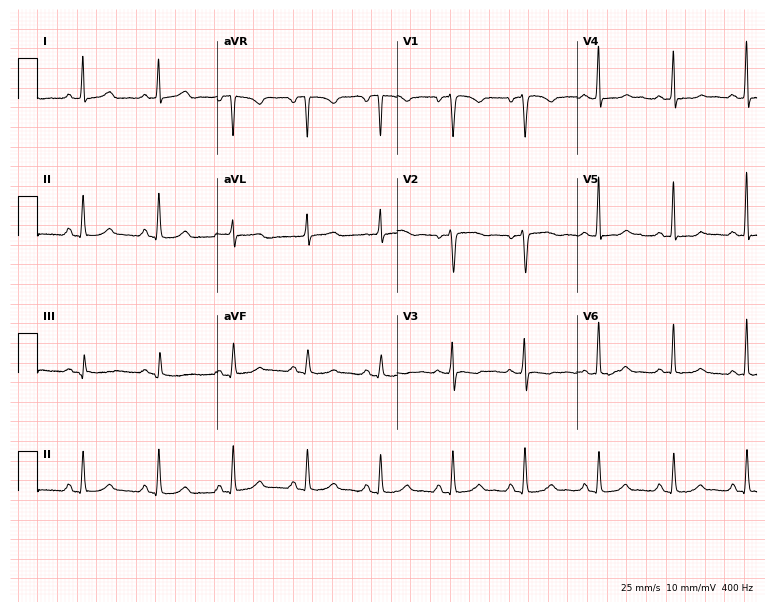
ECG (7.3-second recording at 400 Hz) — a woman, 53 years old. Labelled as a normal ECG.